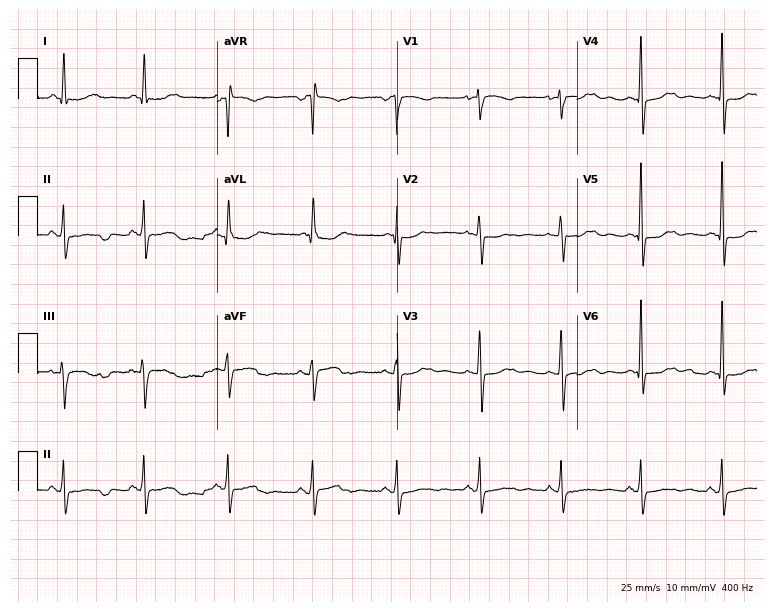
Resting 12-lead electrocardiogram. Patient: a female, 46 years old. None of these six findings is recorded: first-degree AV block, right bundle branch block, left bundle branch block, sinus bradycardia, atrial fibrillation, sinus tachycardia. Findings outside these six are not listed.